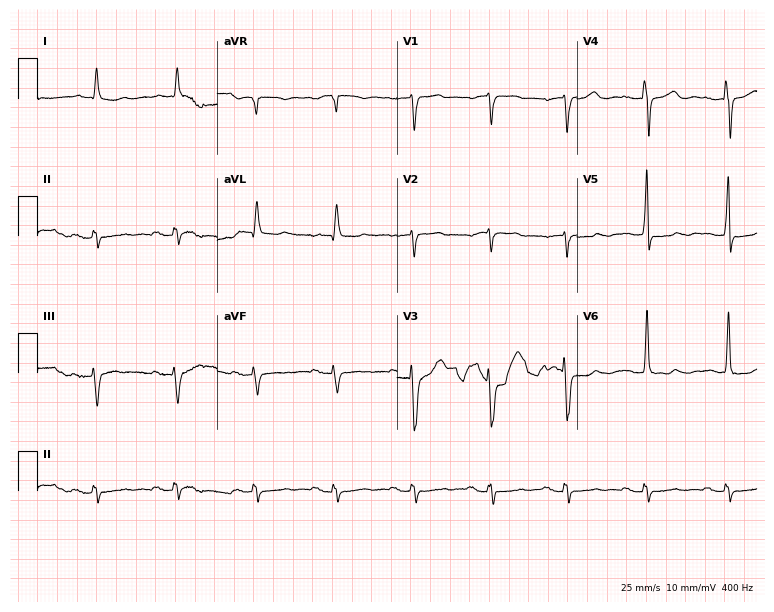
12-lead ECG from a 69-year-old man. Screened for six findings — first-degree AV block, right bundle branch block, left bundle branch block, sinus bradycardia, atrial fibrillation, sinus tachycardia — none is recorded.